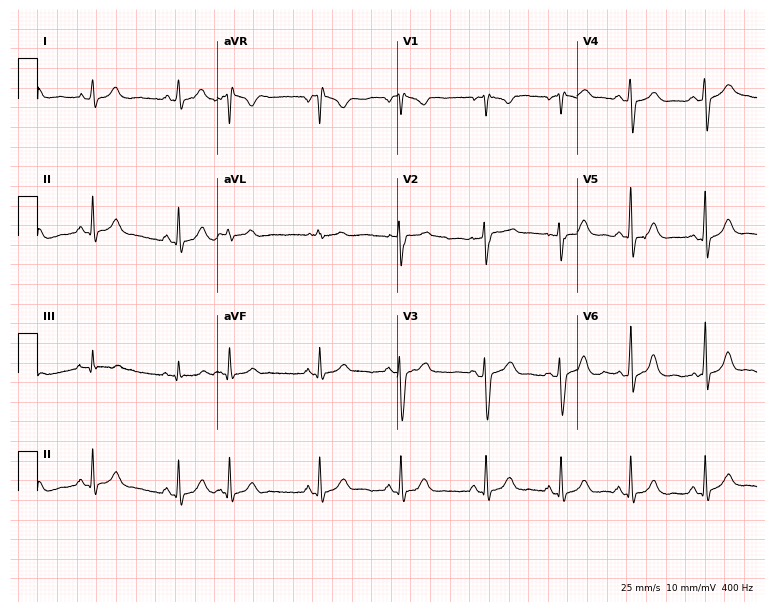
Resting 12-lead electrocardiogram (7.3-second recording at 400 Hz). Patient: a woman, 17 years old. None of these six findings is recorded: first-degree AV block, right bundle branch block, left bundle branch block, sinus bradycardia, atrial fibrillation, sinus tachycardia.